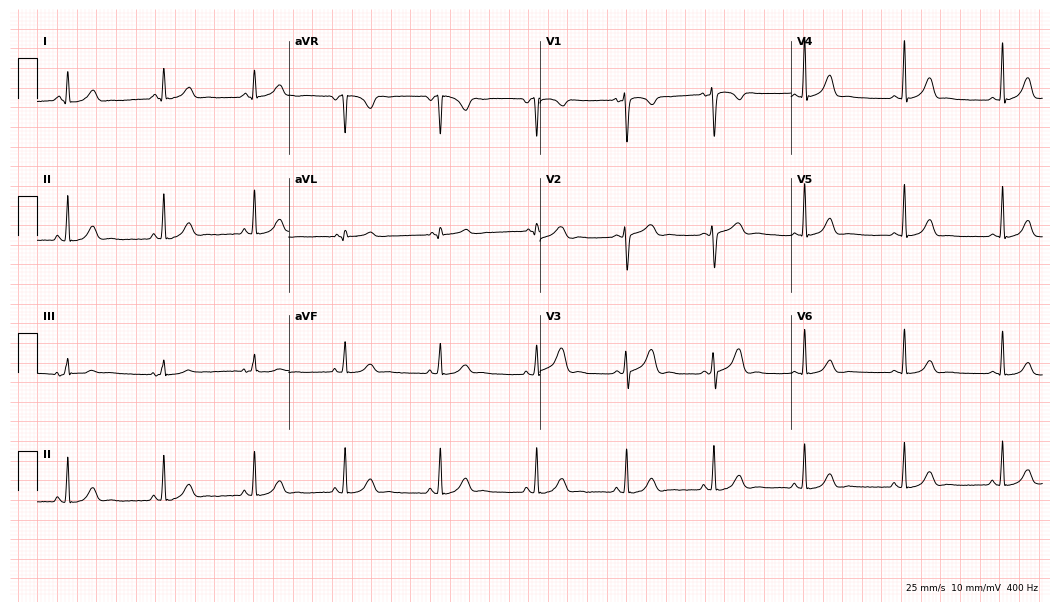
12-lead ECG from a 20-year-old female patient (10.2-second recording at 400 Hz). No first-degree AV block, right bundle branch block (RBBB), left bundle branch block (LBBB), sinus bradycardia, atrial fibrillation (AF) or sinus tachycardia recorded for this tracing. Findings outside these six are not listed.